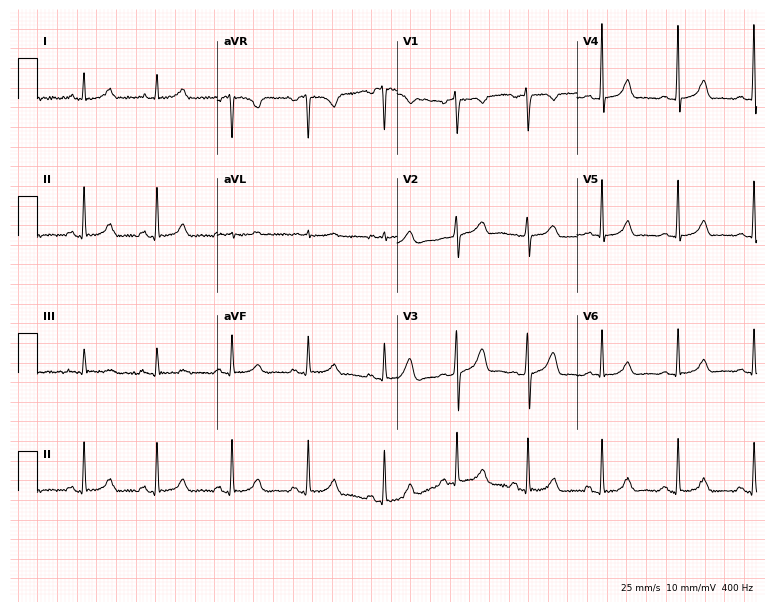
Electrocardiogram (7.3-second recording at 400 Hz), a woman, 24 years old. Overall reading on record: normal ECG.